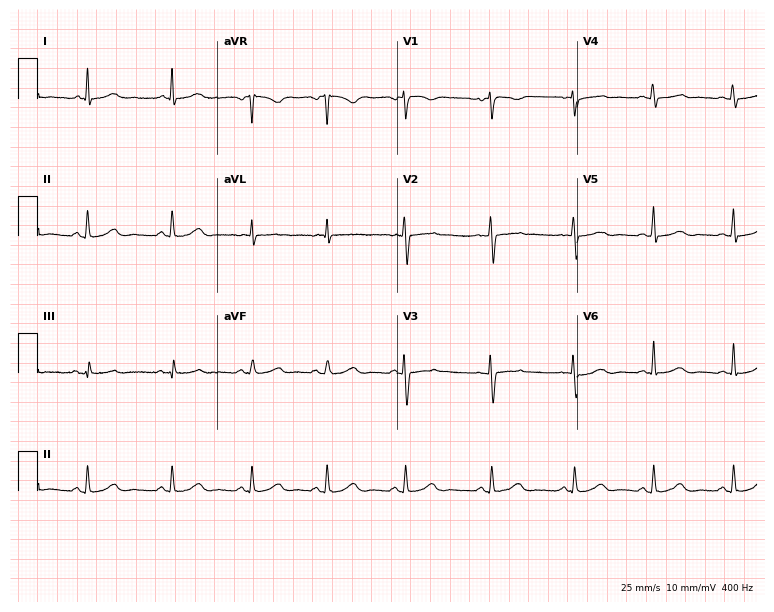
12-lead ECG from a female patient, 46 years old. Screened for six findings — first-degree AV block, right bundle branch block (RBBB), left bundle branch block (LBBB), sinus bradycardia, atrial fibrillation (AF), sinus tachycardia — none is recorded.